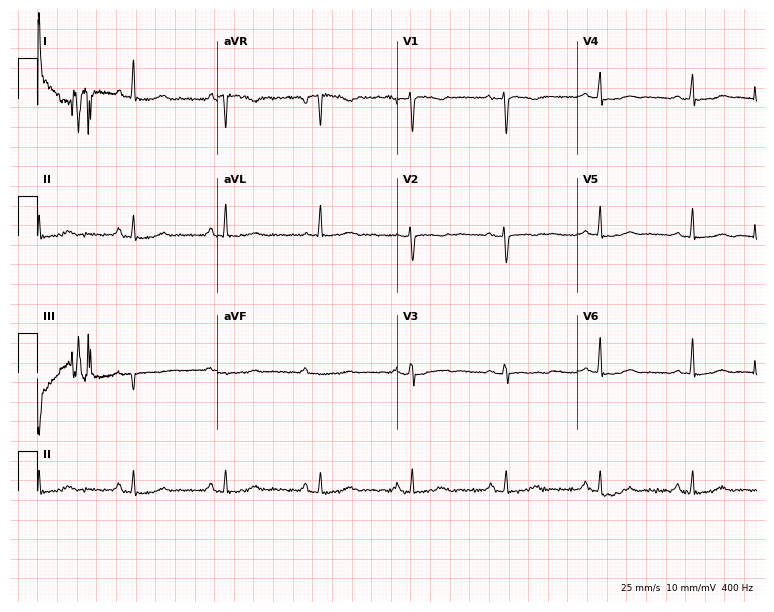
Standard 12-lead ECG recorded from a 44-year-old female patient. None of these six findings is recorded: first-degree AV block, right bundle branch block, left bundle branch block, sinus bradycardia, atrial fibrillation, sinus tachycardia.